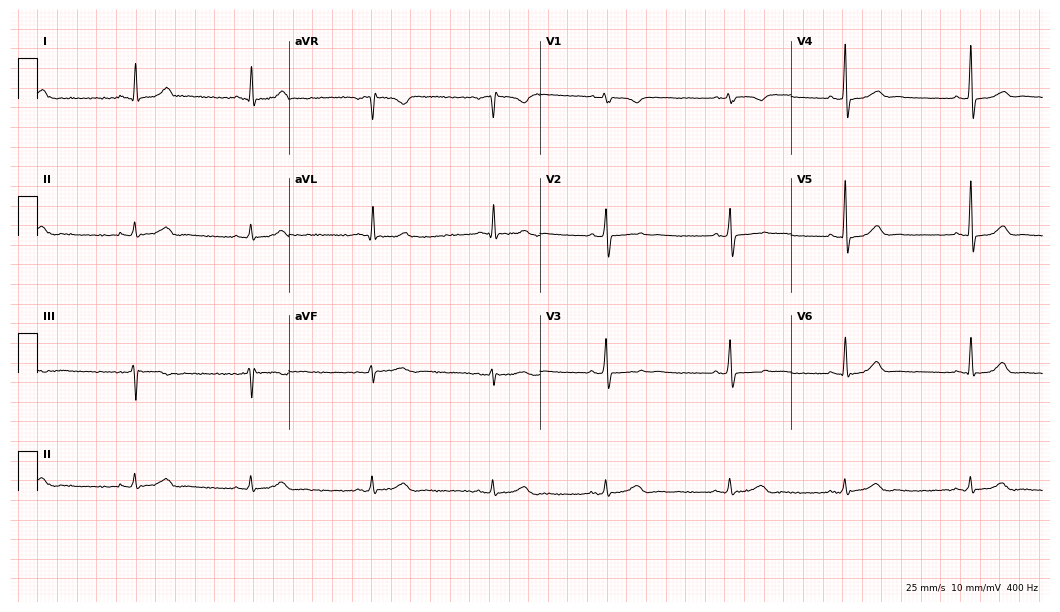
12-lead ECG (10.2-second recording at 400 Hz) from a woman, 38 years old. Labelled as a normal ECG.